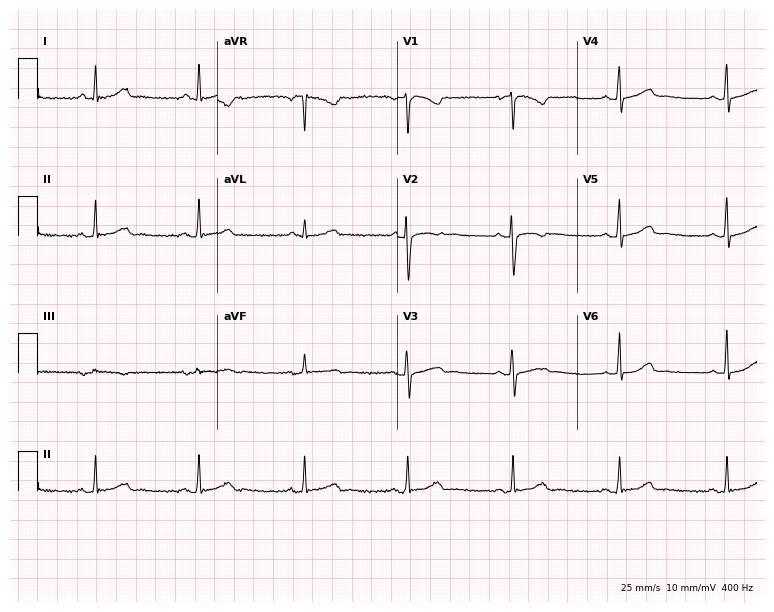
ECG (7.3-second recording at 400 Hz) — a woman, 34 years old. Screened for six findings — first-degree AV block, right bundle branch block, left bundle branch block, sinus bradycardia, atrial fibrillation, sinus tachycardia — none is recorded.